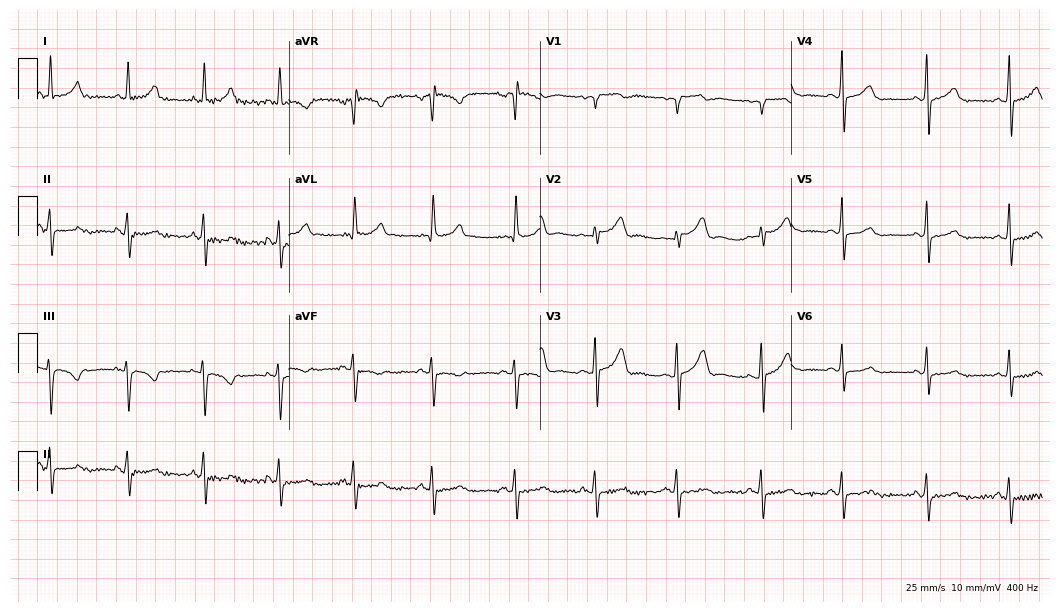
Electrocardiogram, a 45-year-old female patient. Of the six screened findings (first-degree AV block, right bundle branch block (RBBB), left bundle branch block (LBBB), sinus bradycardia, atrial fibrillation (AF), sinus tachycardia), none is recorded. Only these six findings were labelled.